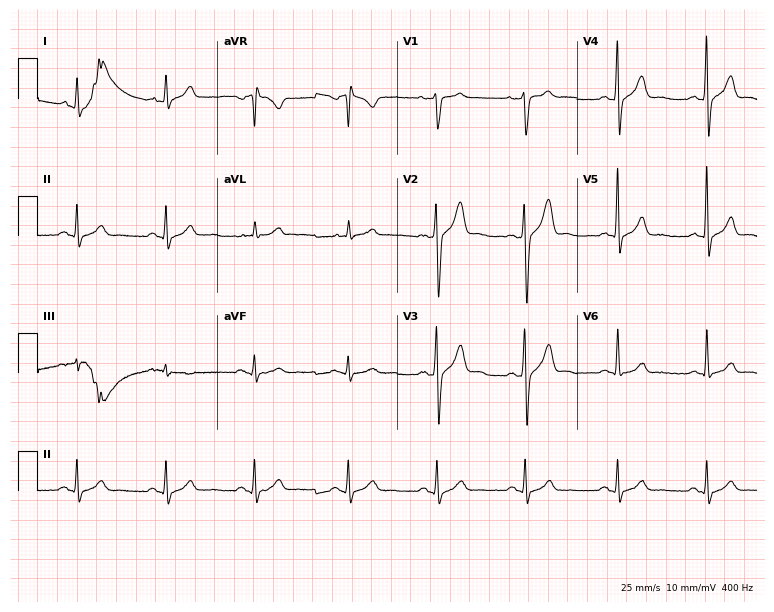
12-lead ECG (7.3-second recording at 400 Hz) from a male patient, 43 years old. Screened for six findings — first-degree AV block, right bundle branch block, left bundle branch block, sinus bradycardia, atrial fibrillation, sinus tachycardia — none is recorded. Only these six findings were labelled.